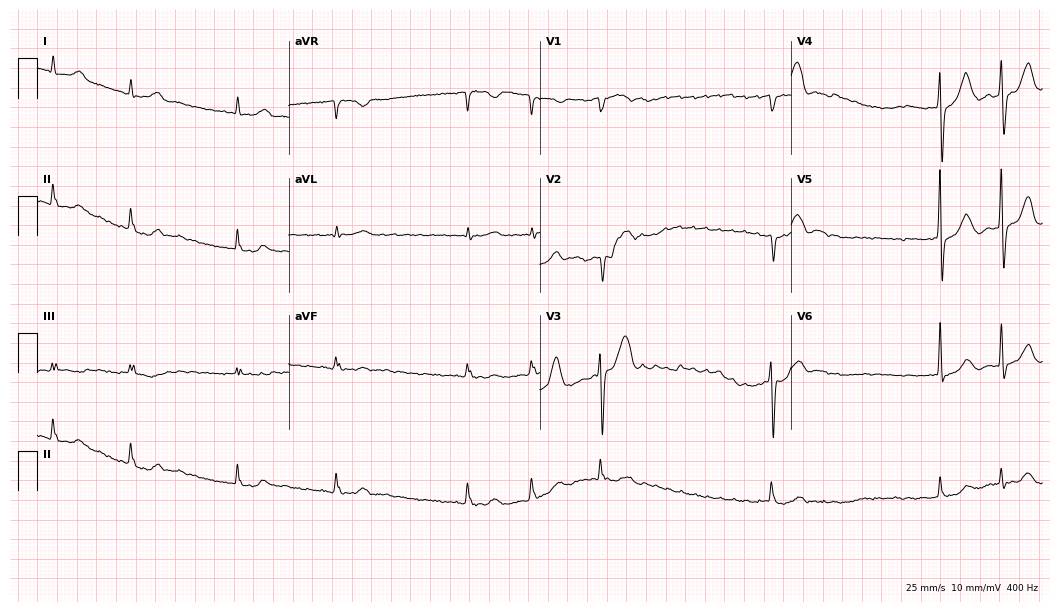
Standard 12-lead ECG recorded from a male, 82 years old (10.2-second recording at 400 Hz). None of these six findings is recorded: first-degree AV block, right bundle branch block (RBBB), left bundle branch block (LBBB), sinus bradycardia, atrial fibrillation (AF), sinus tachycardia. Other findings, if any, are not listed.